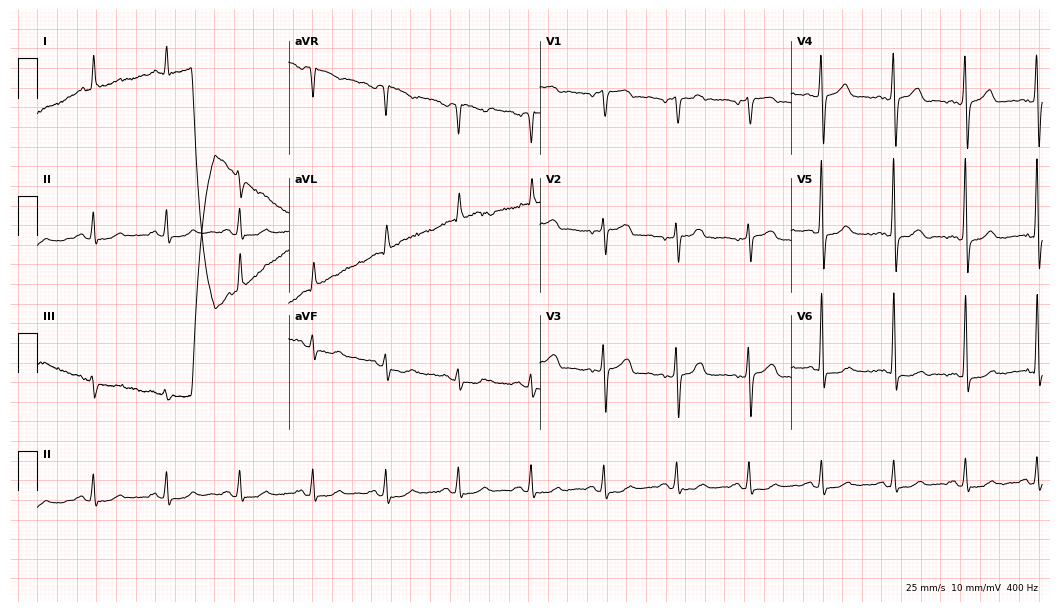
Standard 12-lead ECG recorded from a male, 70 years old (10.2-second recording at 400 Hz). None of these six findings is recorded: first-degree AV block, right bundle branch block (RBBB), left bundle branch block (LBBB), sinus bradycardia, atrial fibrillation (AF), sinus tachycardia.